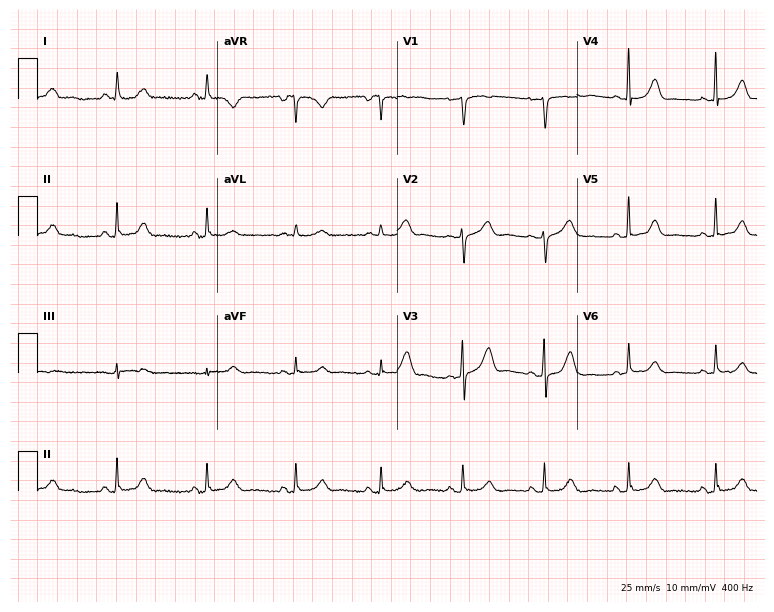
12-lead ECG from a 56-year-old woman. Screened for six findings — first-degree AV block, right bundle branch block, left bundle branch block, sinus bradycardia, atrial fibrillation, sinus tachycardia — none is recorded.